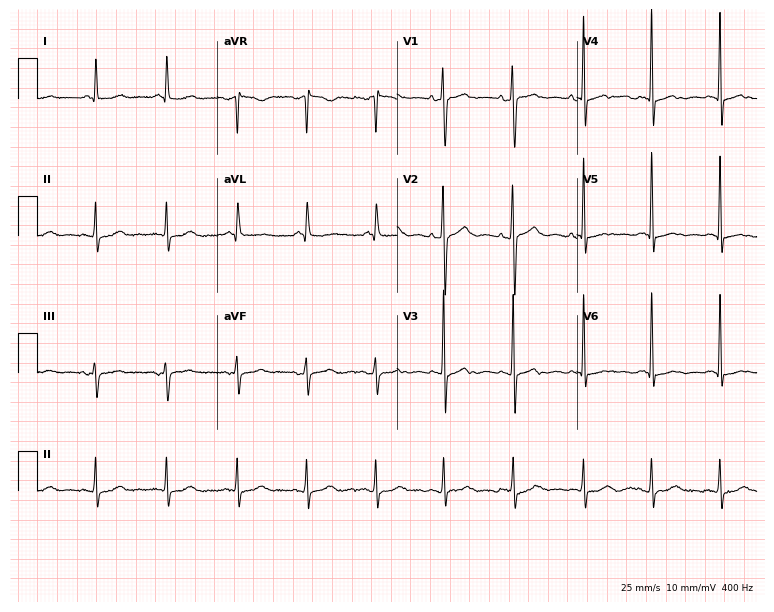
12-lead ECG from a woman, 63 years old (7.3-second recording at 400 Hz). No first-degree AV block, right bundle branch block, left bundle branch block, sinus bradycardia, atrial fibrillation or sinus tachycardia recorded for this tracing.